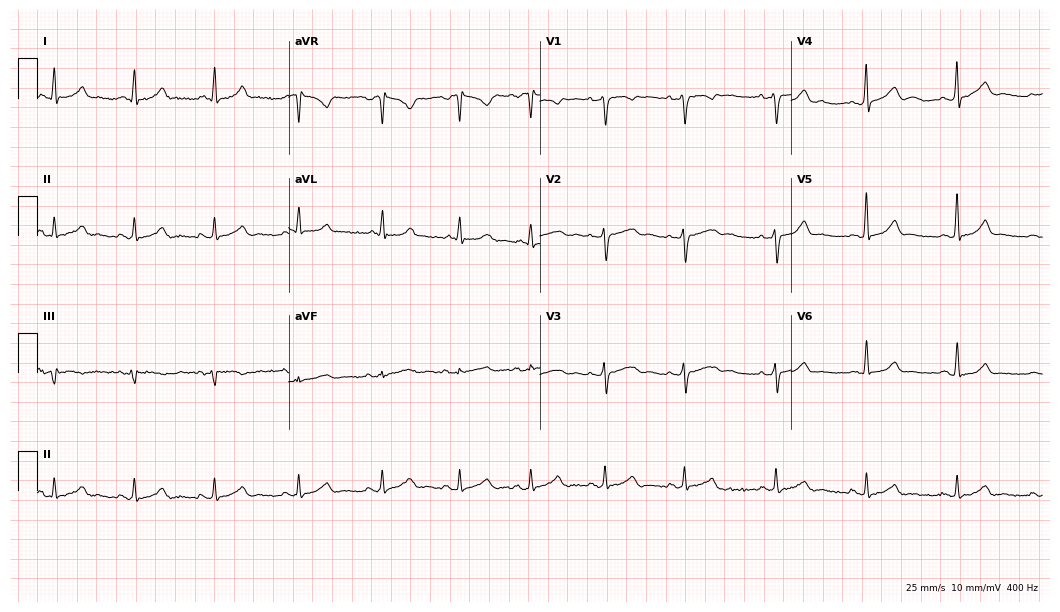
ECG — a 27-year-old female. Labelled as a normal ECG.